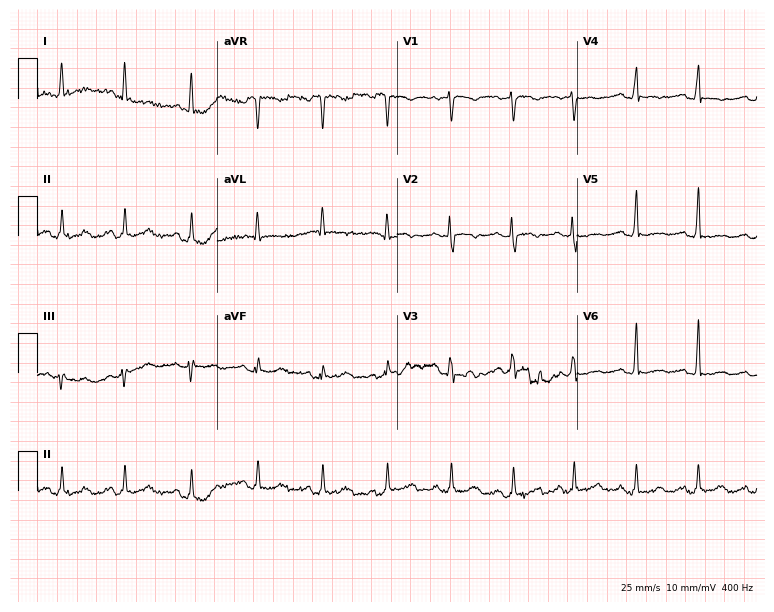
12-lead ECG from a 36-year-old female patient. Screened for six findings — first-degree AV block, right bundle branch block, left bundle branch block, sinus bradycardia, atrial fibrillation, sinus tachycardia — none is recorded. Findings outside these six are not listed.